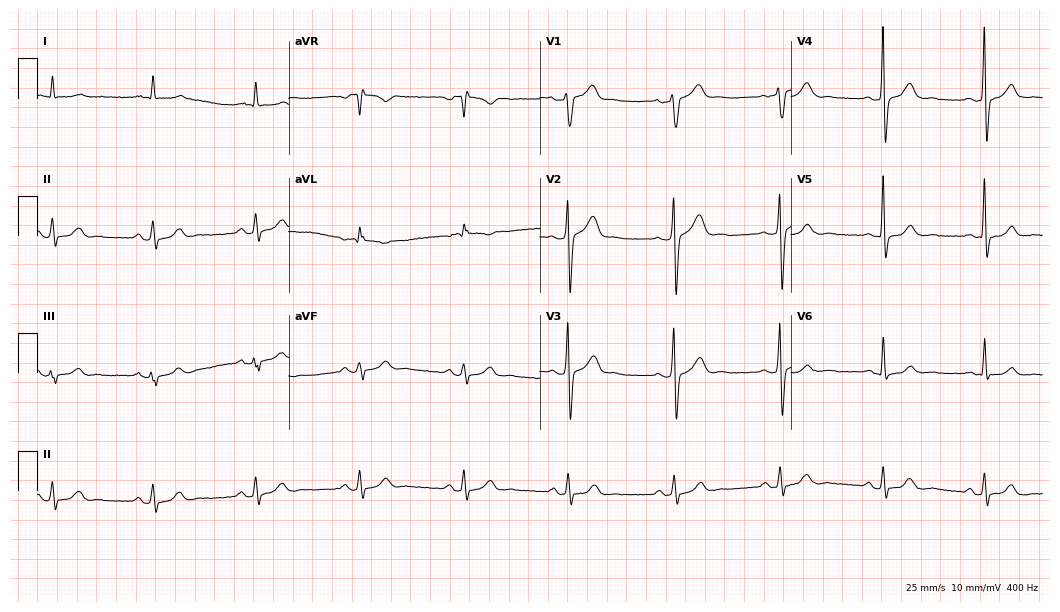
12-lead ECG from a male patient, 48 years old. Screened for six findings — first-degree AV block, right bundle branch block, left bundle branch block, sinus bradycardia, atrial fibrillation, sinus tachycardia — none is recorded.